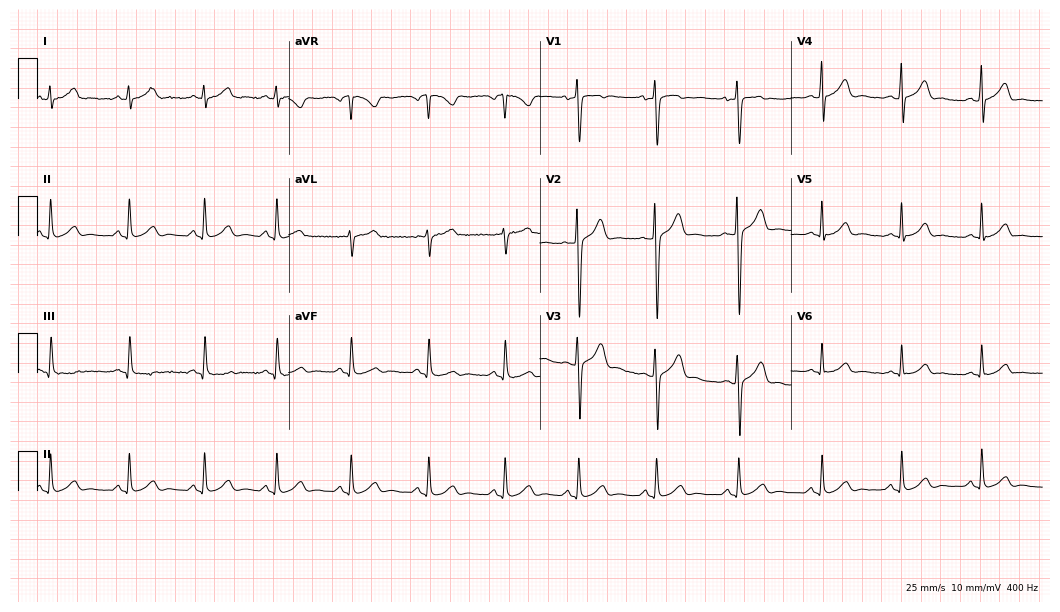
Standard 12-lead ECG recorded from a female, 32 years old (10.2-second recording at 400 Hz). Read as a normal ECG.